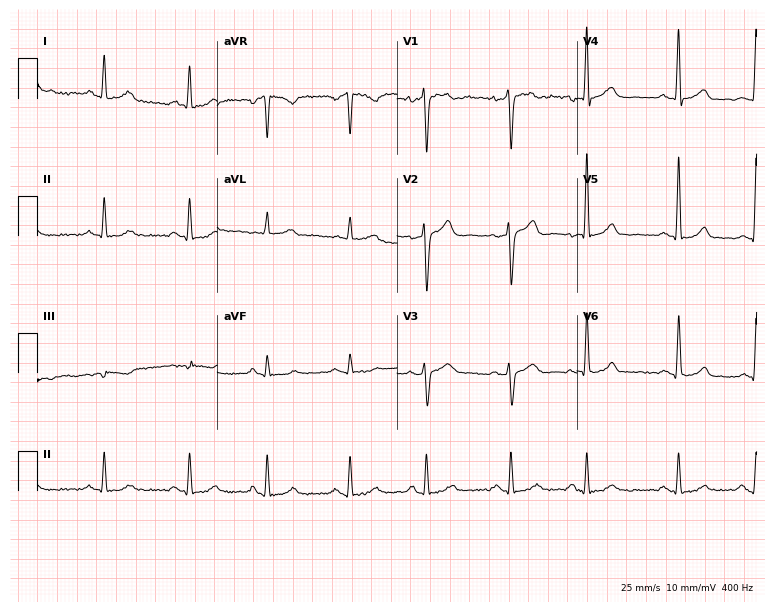
Standard 12-lead ECG recorded from a male patient, 40 years old. None of these six findings is recorded: first-degree AV block, right bundle branch block, left bundle branch block, sinus bradycardia, atrial fibrillation, sinus tachycardia.